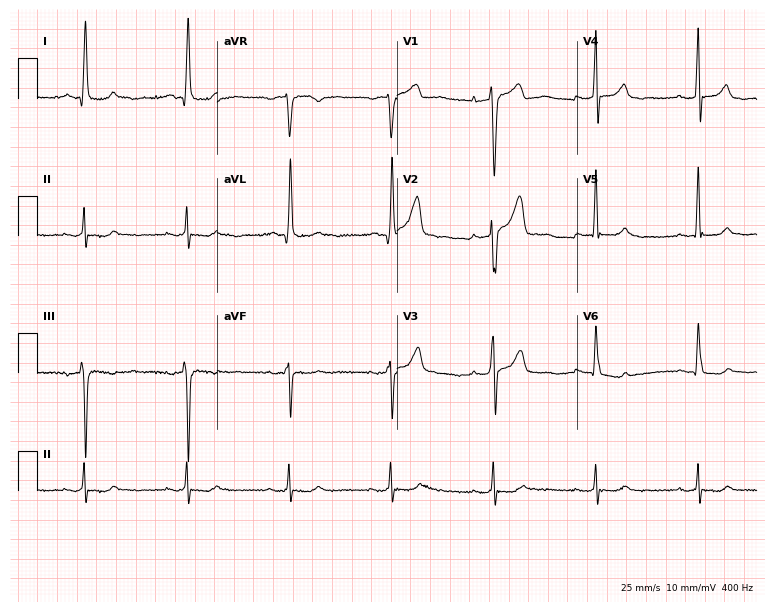
ECG (7.3-second recording at 400 Hz) — a 72-year-old male patient. Screened for six findings — first-degree AV block, right bundle branch block (RBBB), left bundle branch block (LBBB), sinus bradycardia, atrial fibrillation (AF), sinus tachycardia — none is recorded. Findings outside these six are not listed.